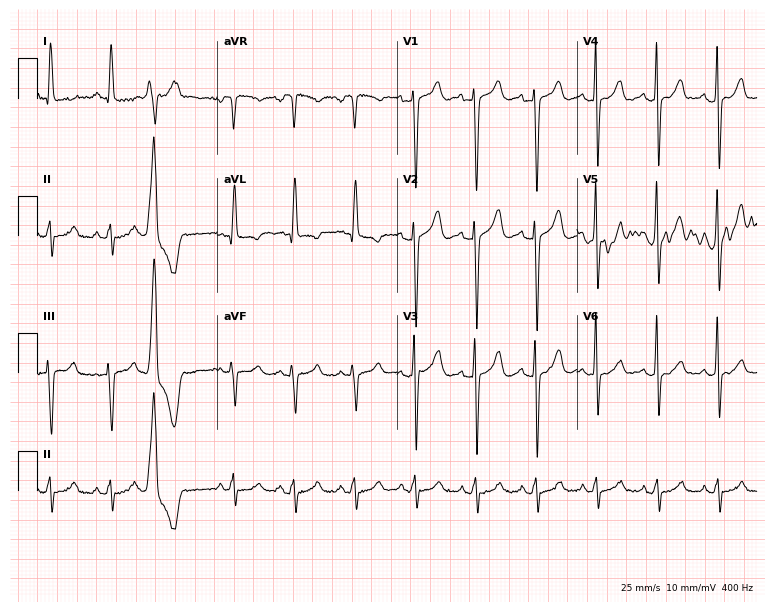
Resting 12-lead electrocardiogram. Patient: a female, 61 years old. None of these six findings is recorded: first-degree AV block, right bundle branch block, left bundle branch block, sinus bradycardia, atrial fibrillation, sinus tachycardia. Only these six findings were labelled.